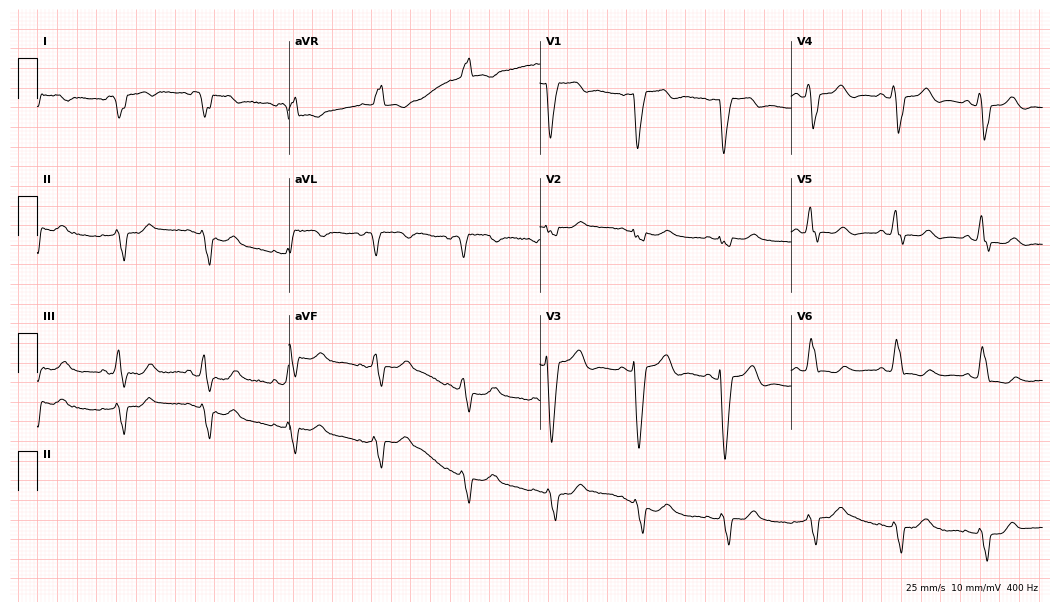
12-lead ECG from an 85-year-old woman. Screened for six findings — first-degree AV block, right bundle branch block, left bundle branch block, sinus bradycardia, atrial fibrillation, sinus tachycardia — none is recorded. Other findings, if any, are not listed.